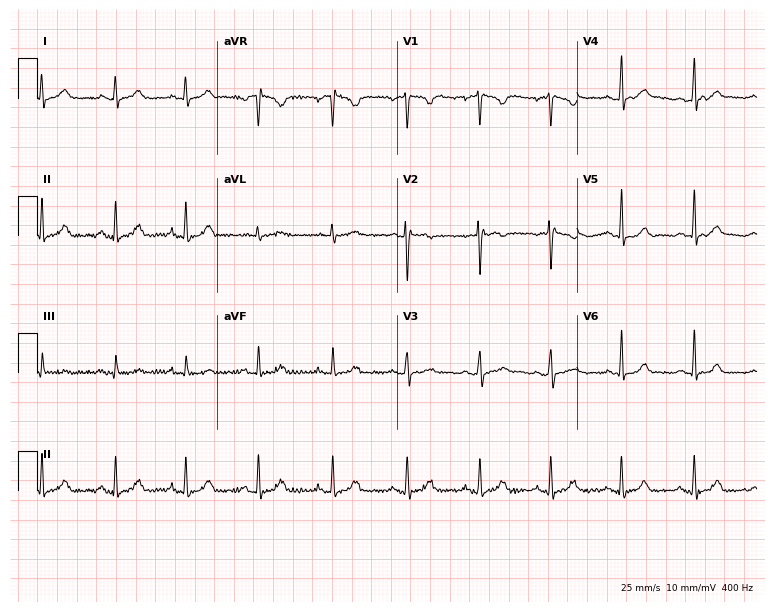
Standard 12-lead ECG recorded from a 33-year-old woman. None of these six findings is recorded: first-degree AV block, right bundle branch block (RBBB), left bundle branch block (LBBB), sinus bradycardia, atrial fibrillation (AF), sinus tachycardia.